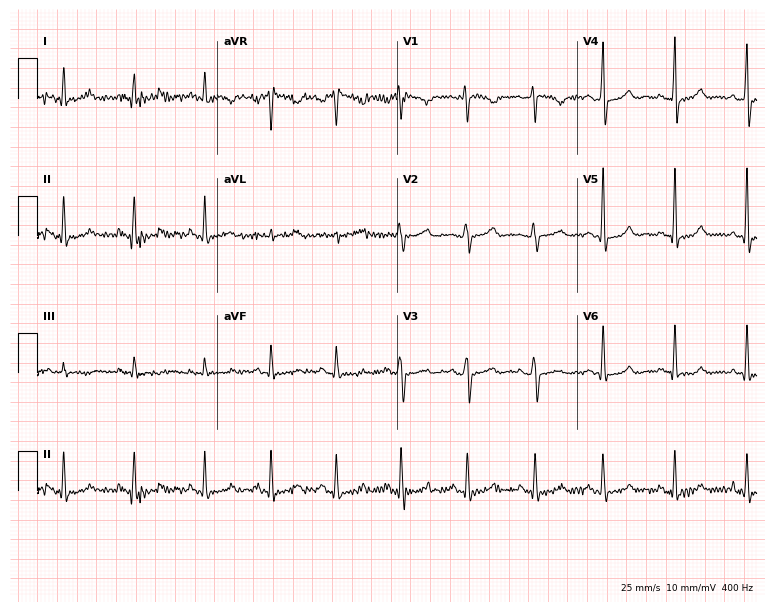
ECG — a woman, 50 years old. Screened for six findings — first-degree AV block, right bundle branch block (RBBB), left bundle branch block (LBBB), sinus bradycardia, atrial fibrillation (AF), sinus tachycardia — none is recorded. Findings outside these six are not listed.